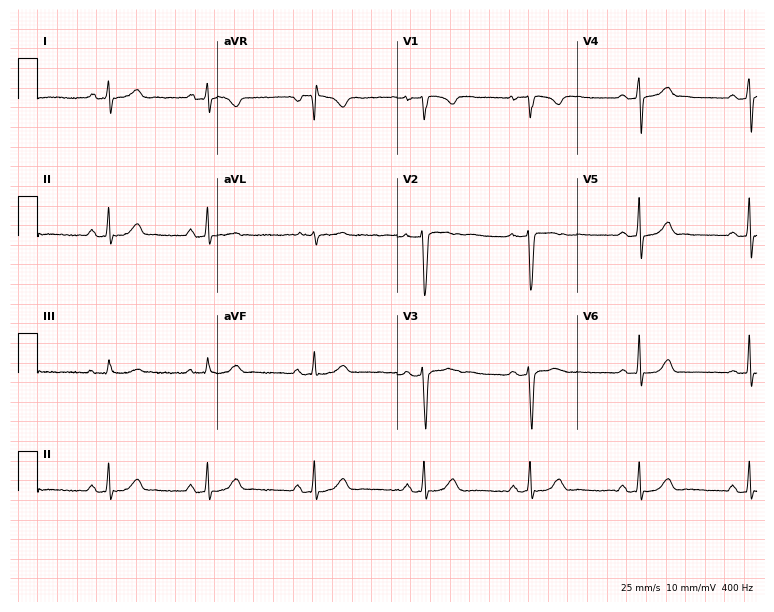
Resting 12-lead electrocardiogram (7.3-second recording at 400 Hz). Patient: an 18-year-old female. Read as a normal ECG.